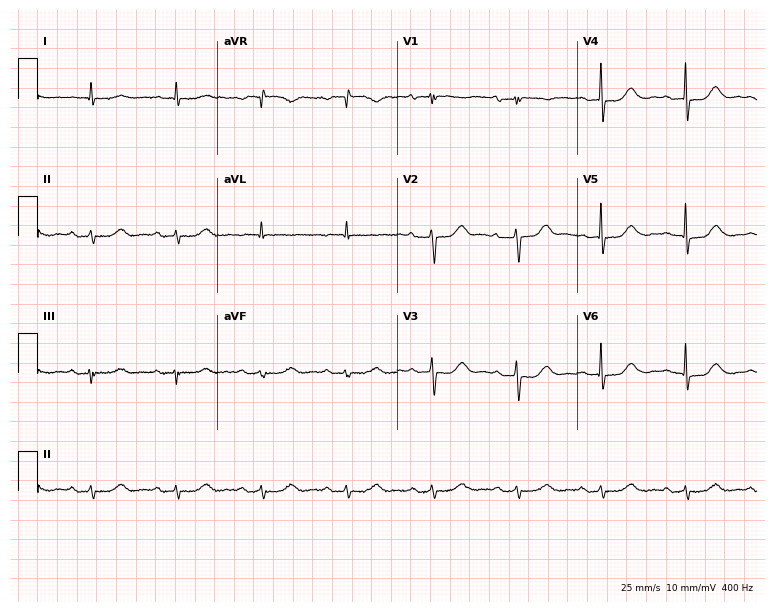
Resting 12-lead electrocardiogram (7.3-second recording at 400 Hz). Patient: a woman, 87 years old. Read as a normal ECG.